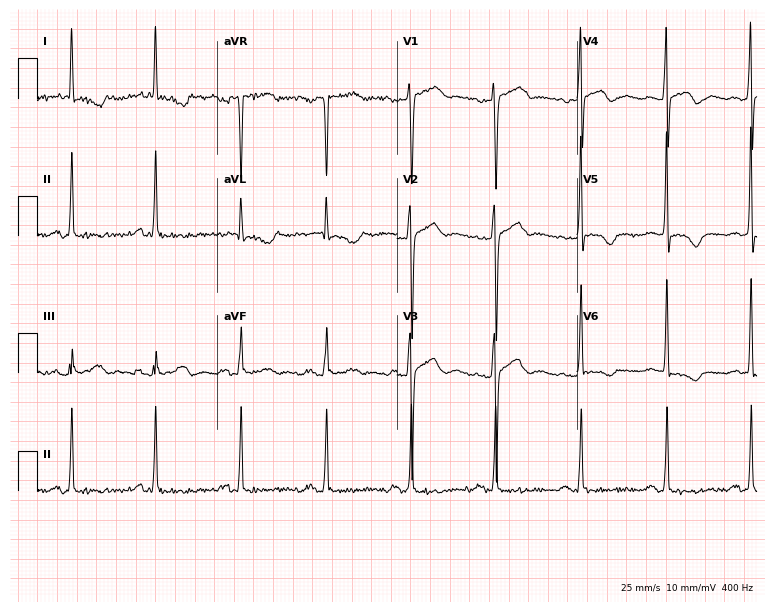
ECG — a female patient, 71 years old. Screened for six findings — first-degree AV block, right bundle branch block, left bundle branch block, sinus bradycardia, atrial fibrillation, sinus tachycardia — none is recorded. Findings outside these six are not listed.